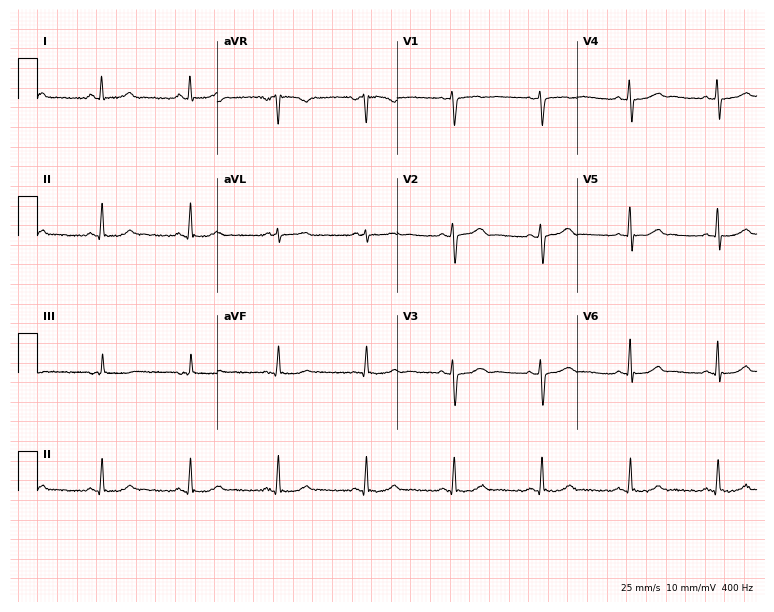
Standard 12-lead ECG recorded from a 62-year-old female patient. None of these six findings is recorded: first-degree AV block, right bundle branch block, left bundle branch block, sinus bradycardia, atrial fibrillation, sinus tachycardia. Other findings, if any, are not listed.